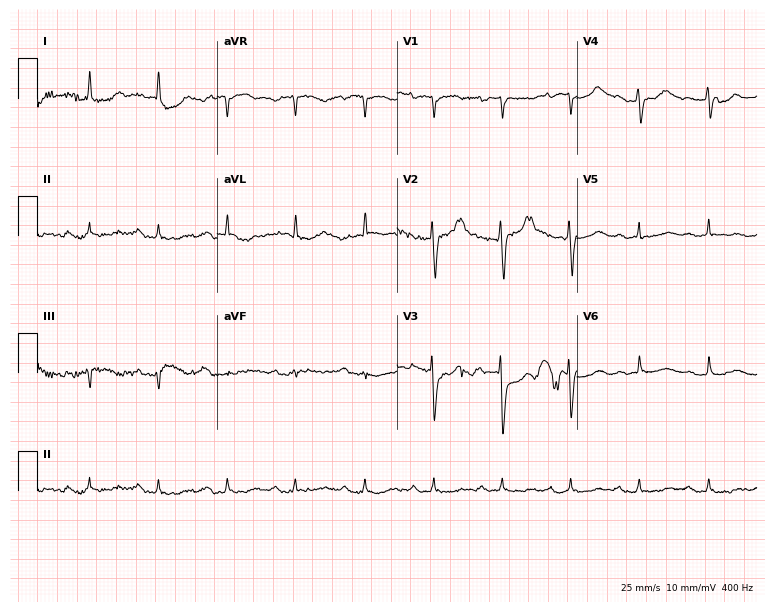
12-lead ECG from a woman, 79 years old (7.3-second recording at 400 Hz). Shows first-degree AV block.